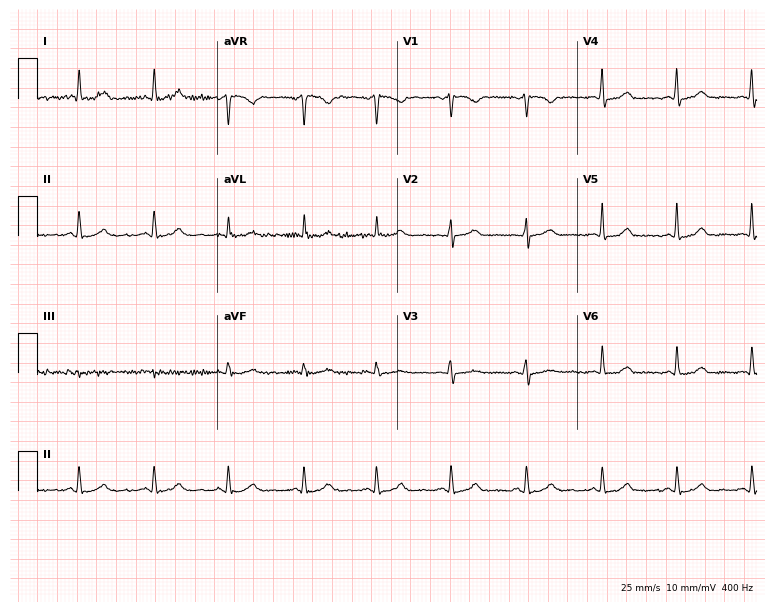
12-lead ECG from a woman, 42 years old (7.3-second recording at 400 Hz). Recorded interpretation: within normal limits.